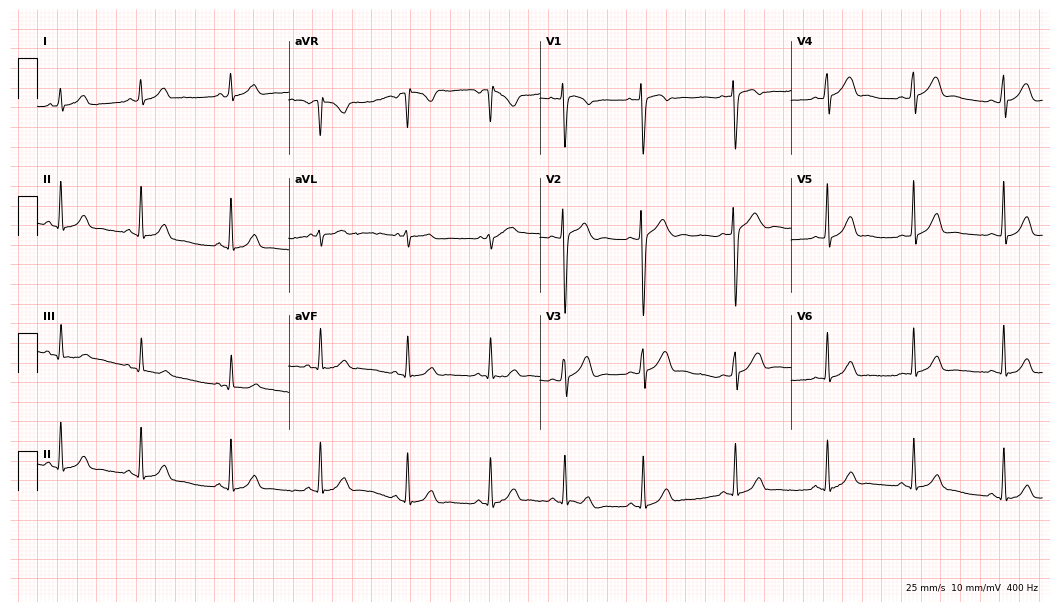
Resting 12-lead electrocardiogram. Patient: a woman, 18 years old. Read as a normal ECG.